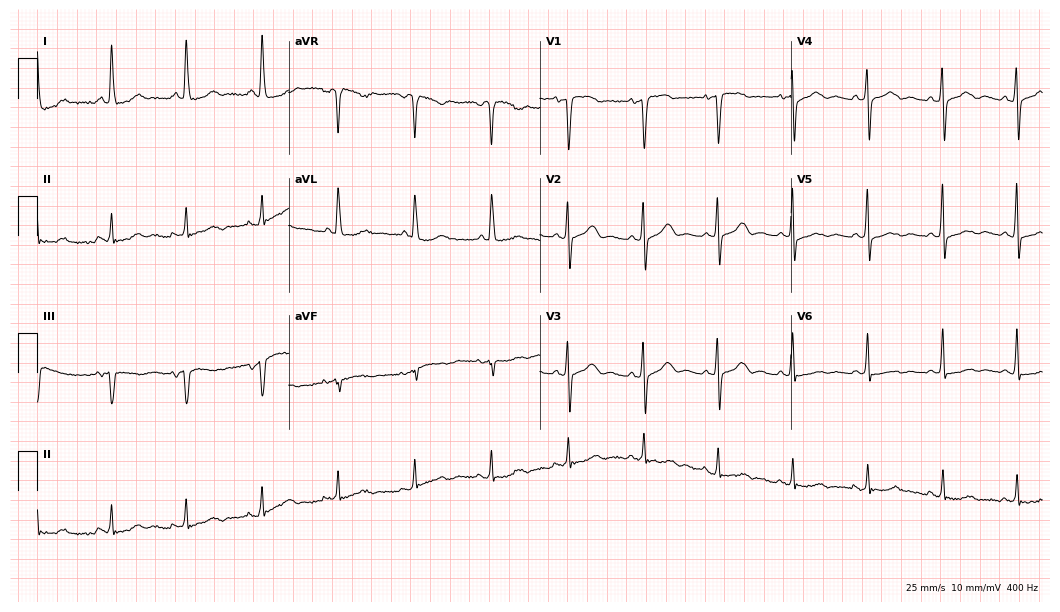
Electrocardiogram, a woman, 58 years old. Overall reading on record: normal ECG.